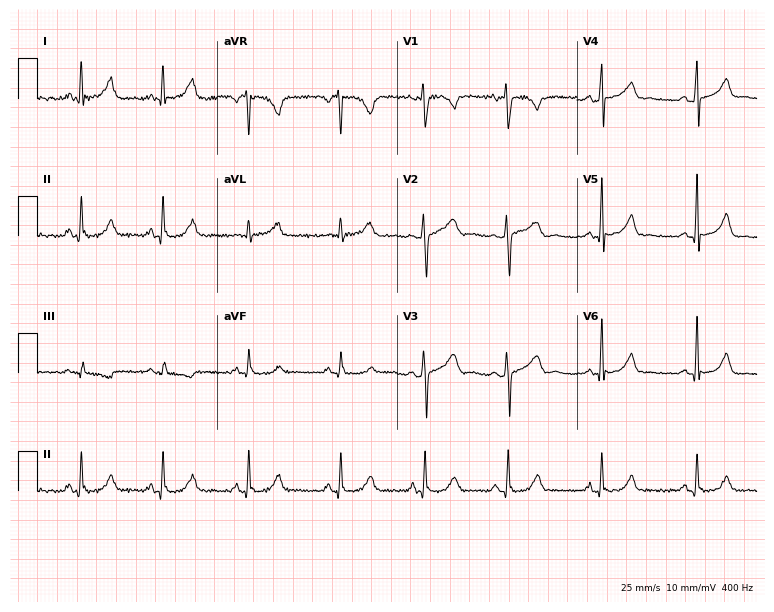
ECG — a female, 32 years old. Labelled as a normal ECG.